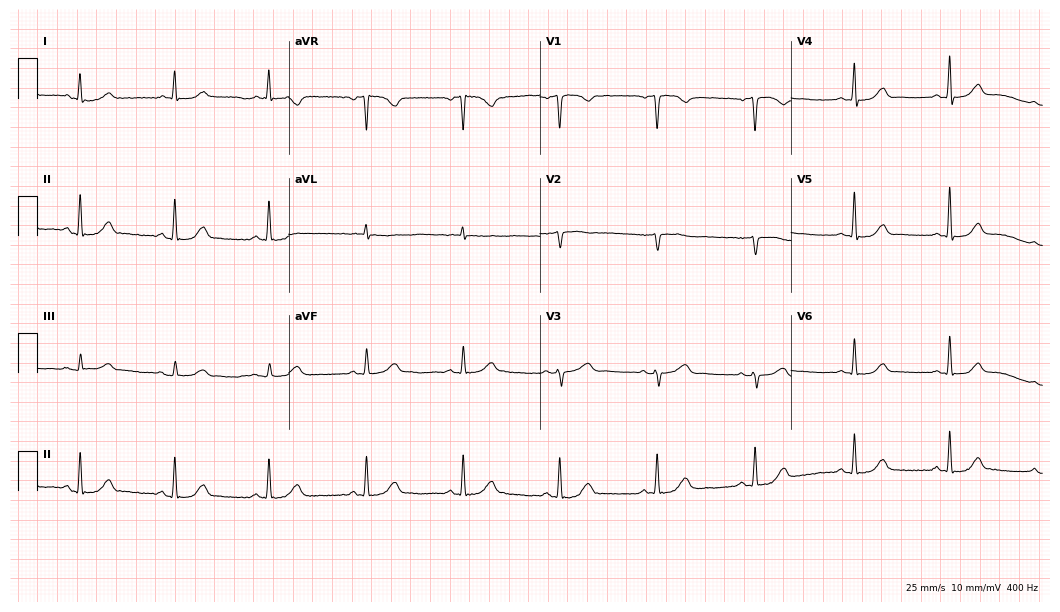
12-lead ECG from a female patient, 69 years old. No first-degree AV block, right bundle branch block, left bundle branch block, sinus bradycardia, atrial fibrillation or sinus tachycardia recorded for this tracing. Other findings, if any, are not listed.